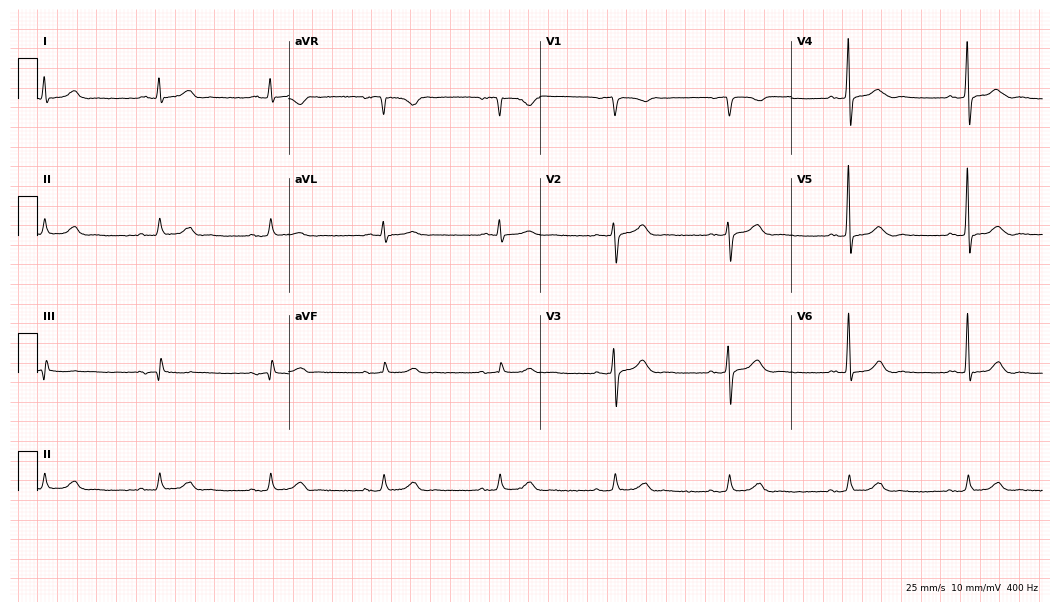
Resting 12-lead electrocardiogram. Patient: a 62-year-old male. Read as a normal ECG.